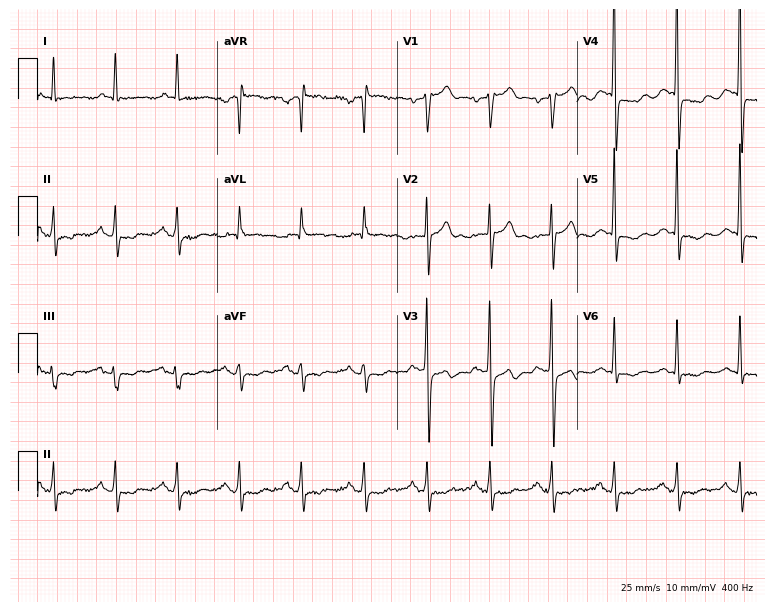
12-lead ECG (7.3-second recording at 400 Hz) from a 76-year-old male patient. Screened for six findings — first-degree AV block, right bundle branch block, left bundle branch block, sinus bradycardia, atrial fibrillation, sinus tachycardia — none is recorded.